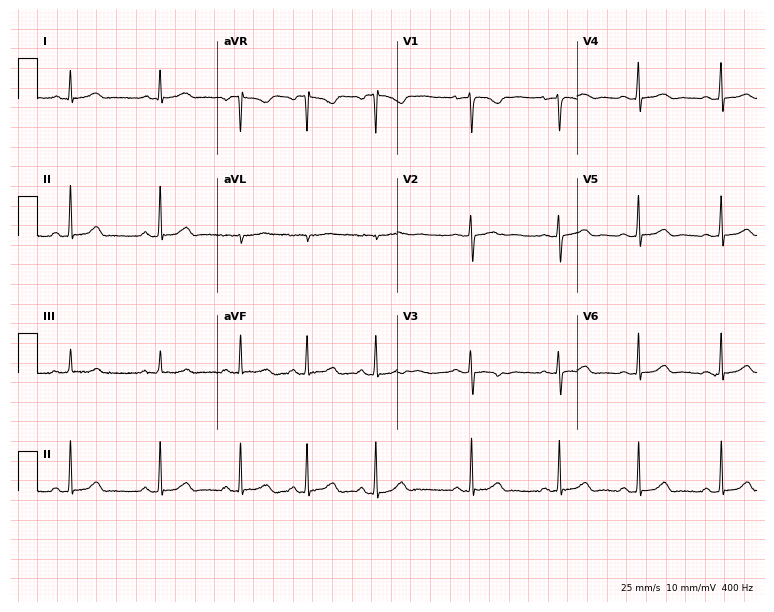
ECG (7.3-second recording at 400 Hz) — a 17-year-old woman. Screened for six findings — first-degree AV block, right bundle branch block (RBBB), left bundle branch block (LBBB), sinus bradycardia, atrial fibrillation (AF), sinus tachycardia — none is recorded. Findings outside these six are not listed.